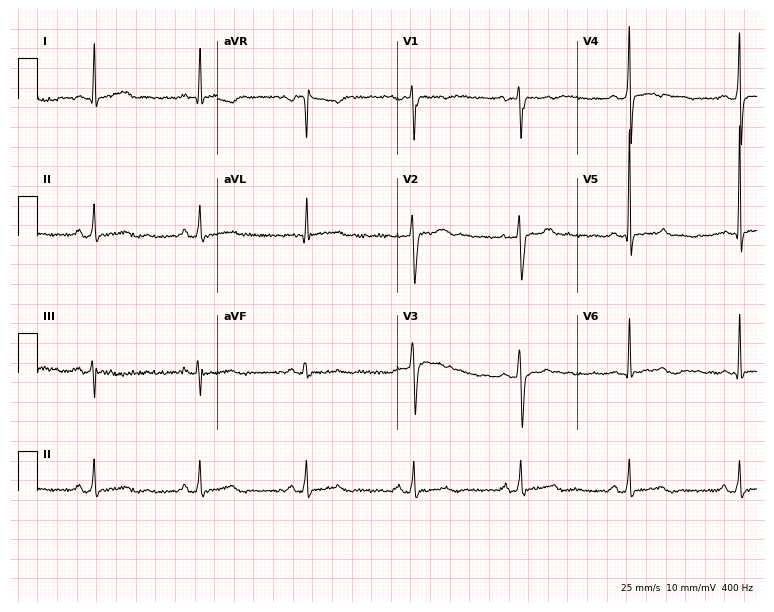
12-lead ECG from a man, 52 years old. No first-degree AV block, right bundle branch block, left bundle branch block, sinus bradycardia, atrial fibrillation or sinus tachycardia recorded for this tracing. Only these six findings were labelled.